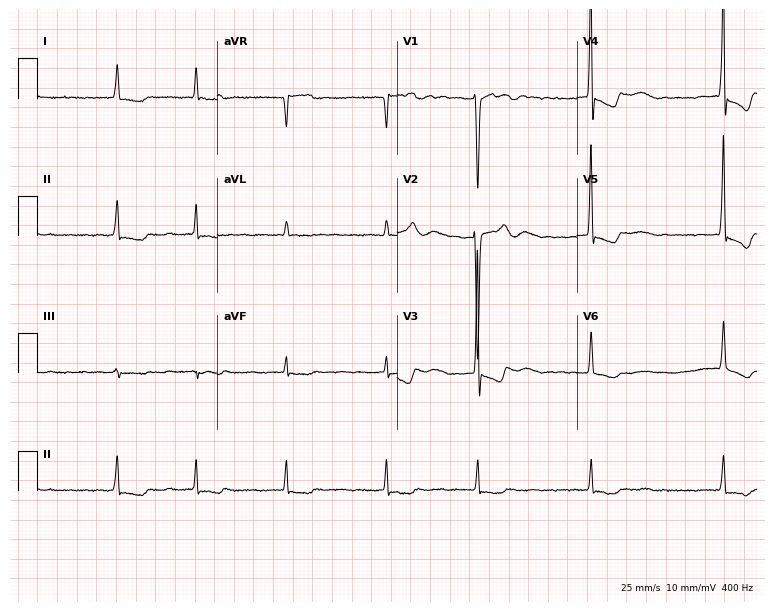
ECG — an 82-year-old female. Findings include atrial fibrillation.